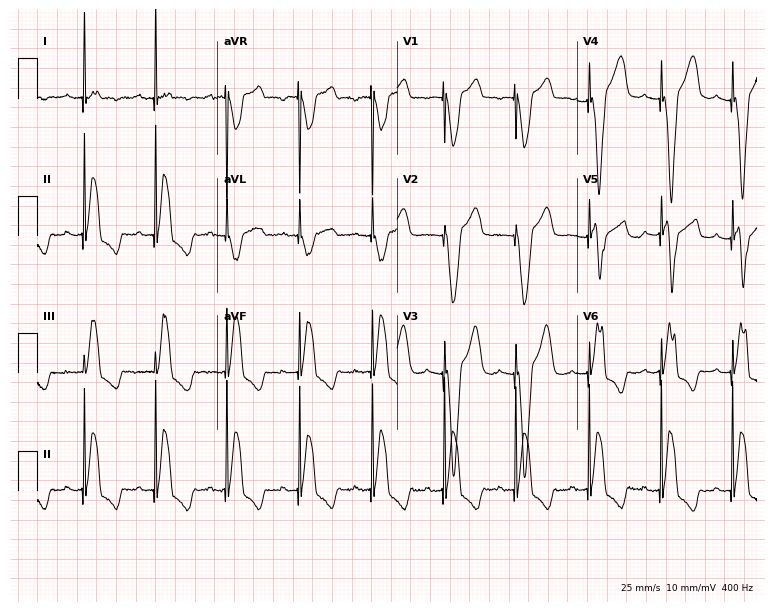
Standard 12-lead ECG recorded from a female patient, 79 years old (7.3-second recording at 400 Hz). None of these six findings is recorded: first-degree AV block, right bundle branch block, left bundle branch block, sinus bradycardia, atrial fibrillation, sinus tachycardia.